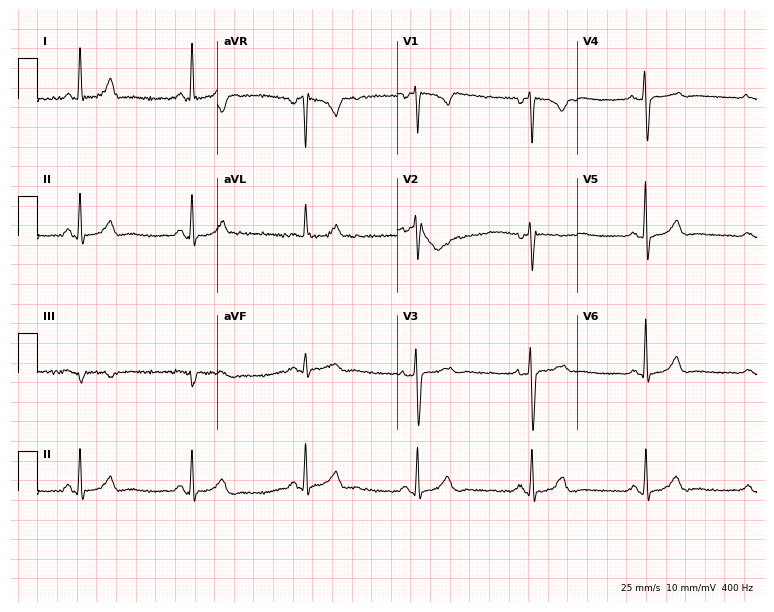
ECG — a 57-year-old female patient. Labelled as a normal ECG.